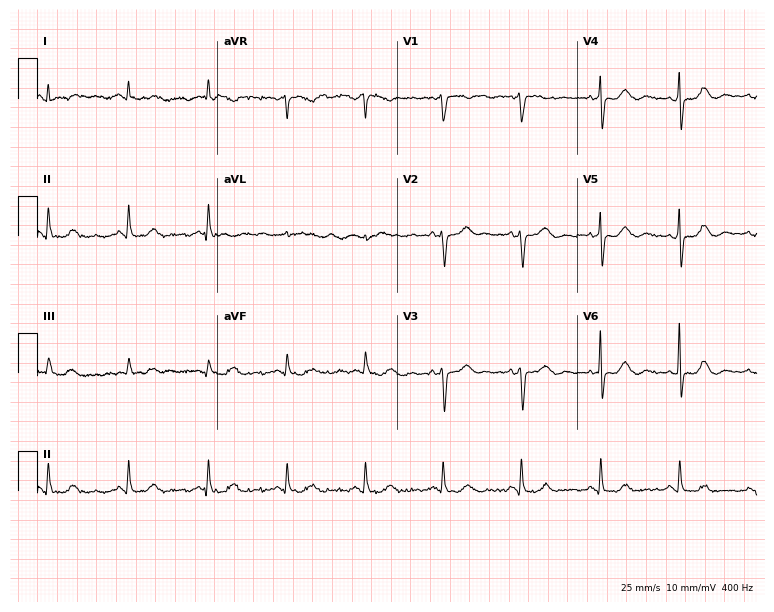
Resting 12-lead electrocardiogram (7.3-second recording at 400 Hz). Patient: a female, 70 years old. None of these six findings is recorded: first-degree AV block, right bundle branch block, left bundle branch block, sinus bradycardia, atrial fibrillation, sinus tachycardia.